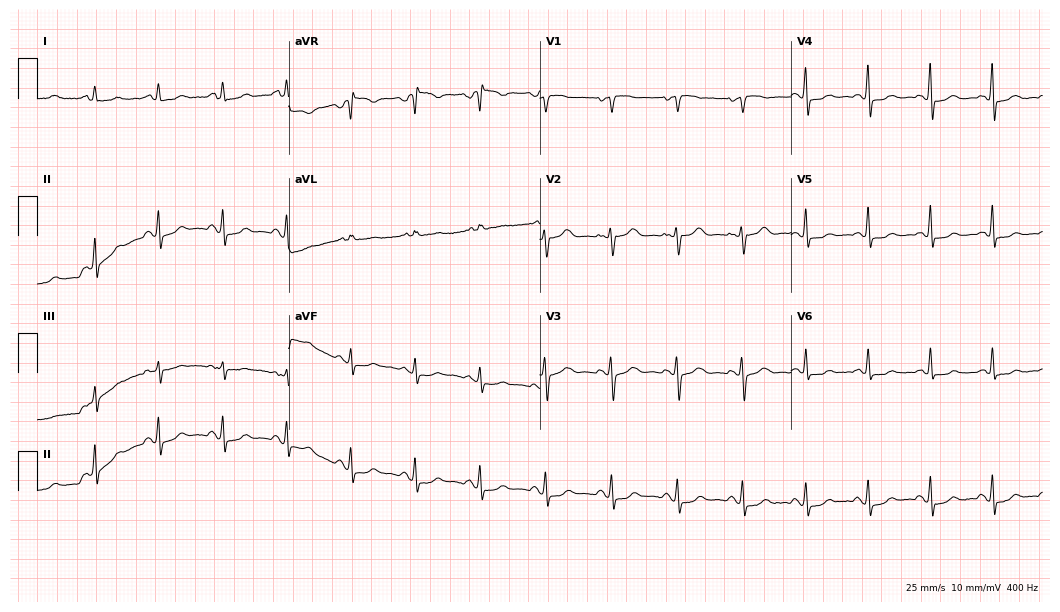
12-lead ECG from a 50-year-old female. No first-degree AV block, right bundle branch block (RBBB), left bundle branch block (LBBB), sinus bradycardia, atrial fibrillation (AF) or sinus tachycardia recorded for this tracing. Findings outside these six are not listed.